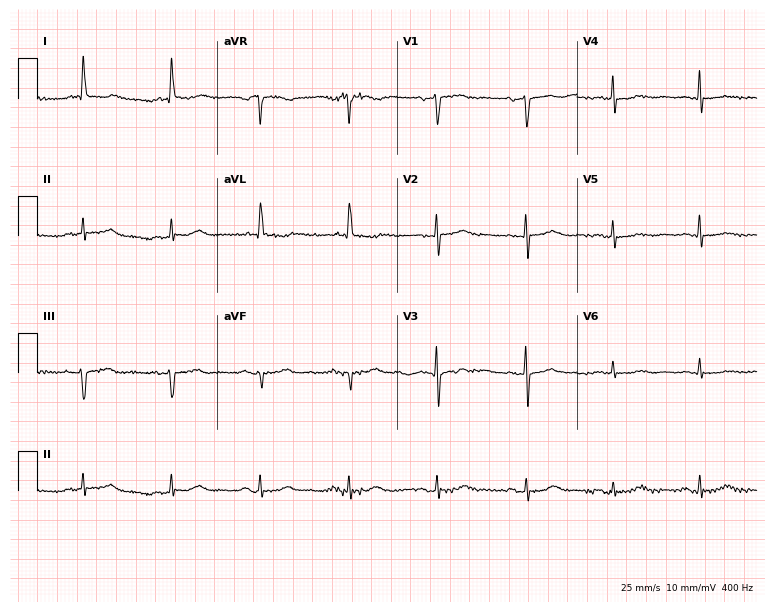
12-lead ECG (7.3-second recording at 400 Hz) from a female patient, 75 years old. Screened for six findings — first-degree AV block, right bundle branch block (RBBB), left bundle branch block (LBBB), sinus bradycardia, atrial fibrillation (AF), sinus tachycardia — none is recorded. Other findings, if any, are not listed.